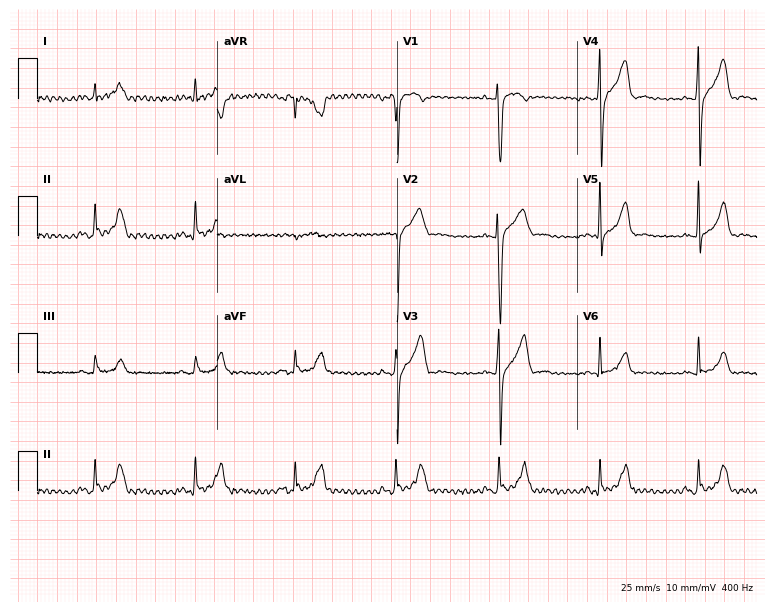
12-lead ECG from a 38-year-old male patient. No first-degree AV block, right bundle branch block (RBBB), left bundle branch block (LBBB), sinus bradycardia, atrial fibrillation (AF) or sinus tachycardia recorded for this tracing.